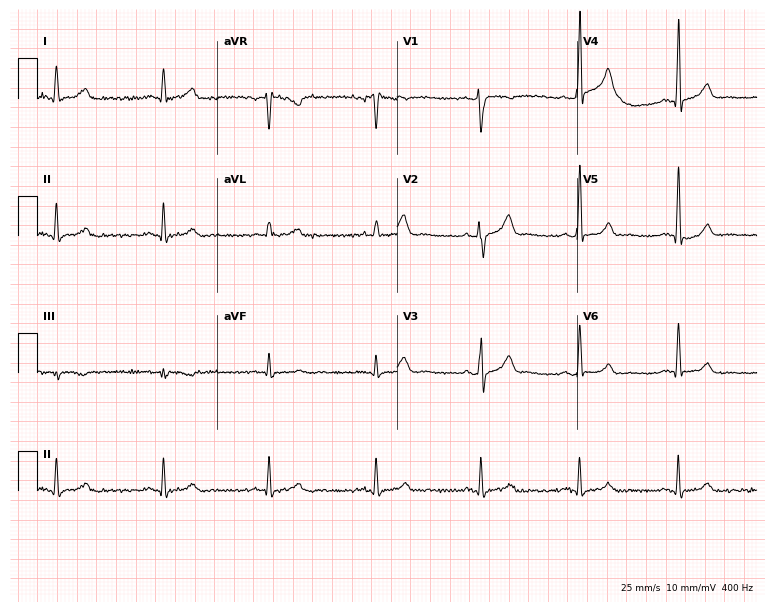
ECG — a 47-year-old man. Labelled as a normal ECG.